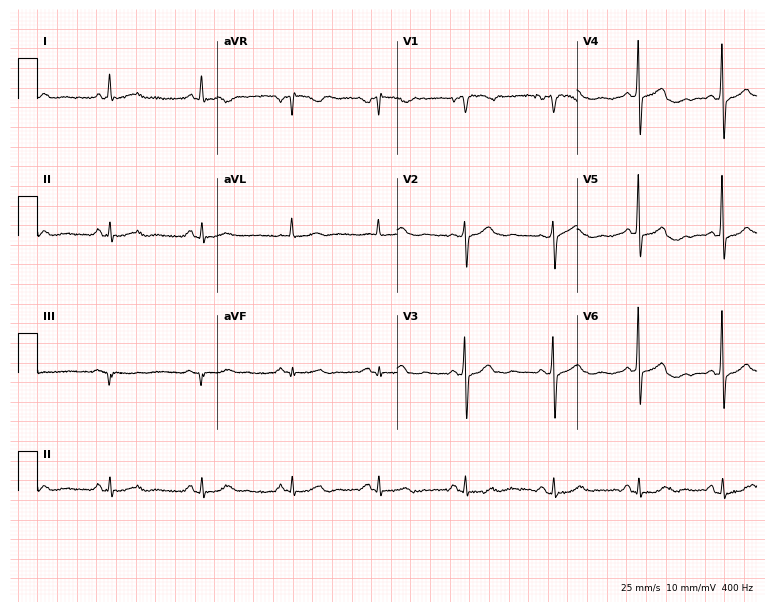
Resting 12-lead electrocardiogram. Patient: a 60-year-old woman. None of these six findings is recorded: first-degree AV block, right bundle branch block, left bundle branch block, sinus bradycardia, atrial fibrillation, sinus tachycardia.